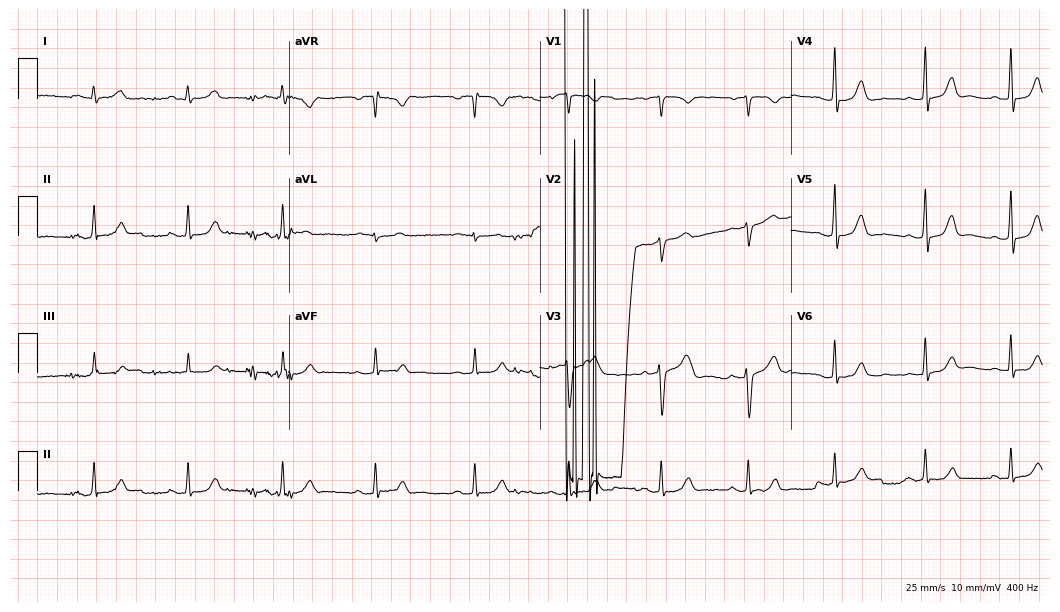
Resting 12-lead electrocardiogram (10.2-second recording at 400 Hz). Patient: a female, 48 years old. None of these six findings is recorded: first-degree AV block, right bundle branch block (RBBB), left bundle branch block (LBBB), sinus bradycardia, atrial fibrillation (AF), sinus tachycardia.